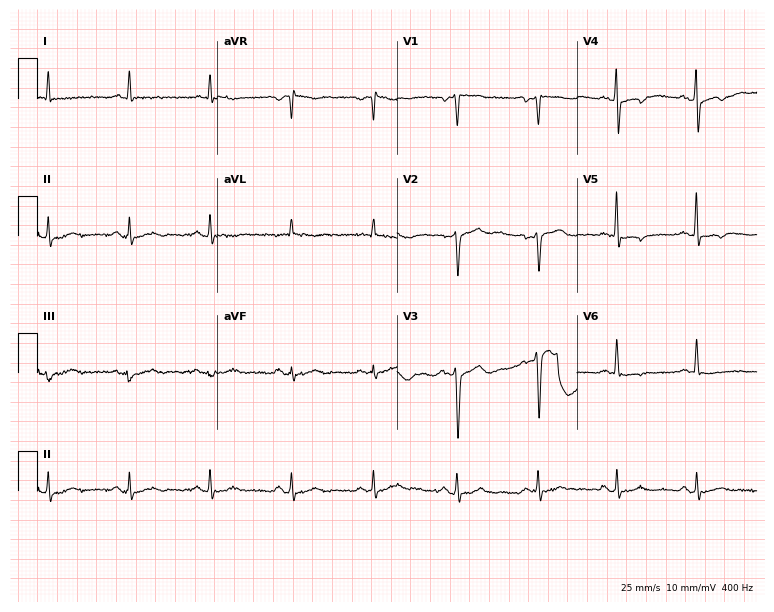
12-lead ECG from a 66-year-old male patient. Screened for six findings — first-degree AV block, right bundle branch block, left bundle branch block, sinus bradycardia, atrial fibrillation, sinus tachycardia — none is recorded.